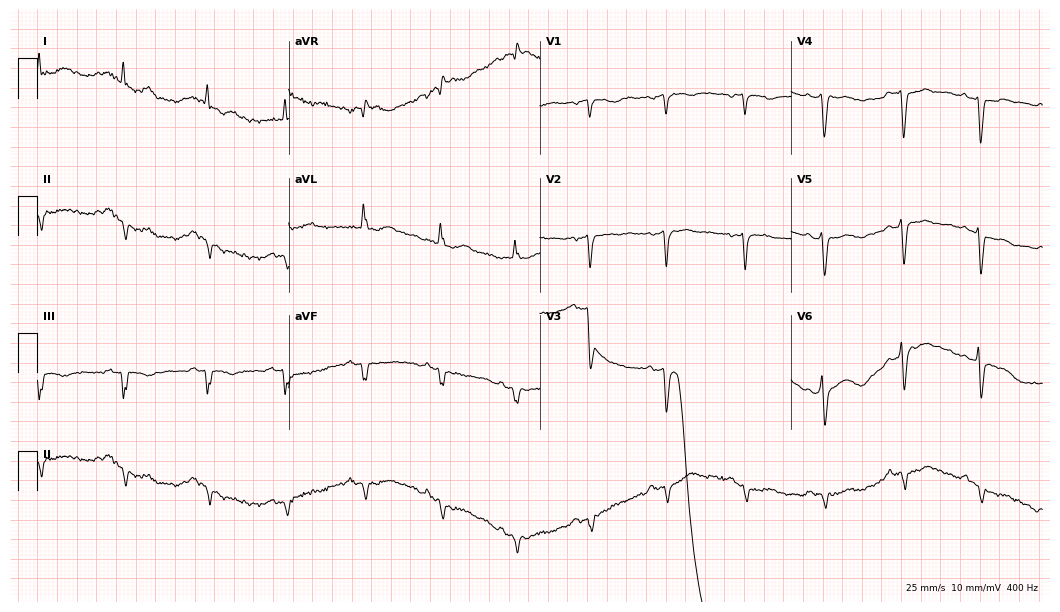
Standard 12-lead ECG recorded from a 69-year-old man (10.2-second recording at 400 Hz). None of these six findings is recorded: first-degree AV block, right bundle branch block, left bundle branch block, sinus bradycardia, atrial fibrillation, sinus tachycardia.